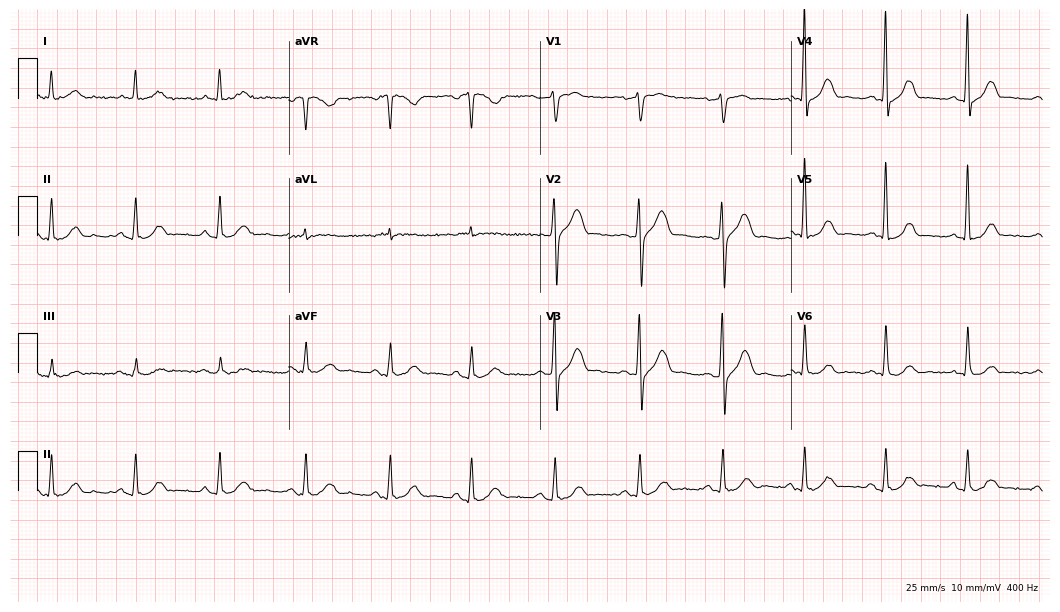
ECG — a male patient, 64 years old. Labelled as a normal ECG.